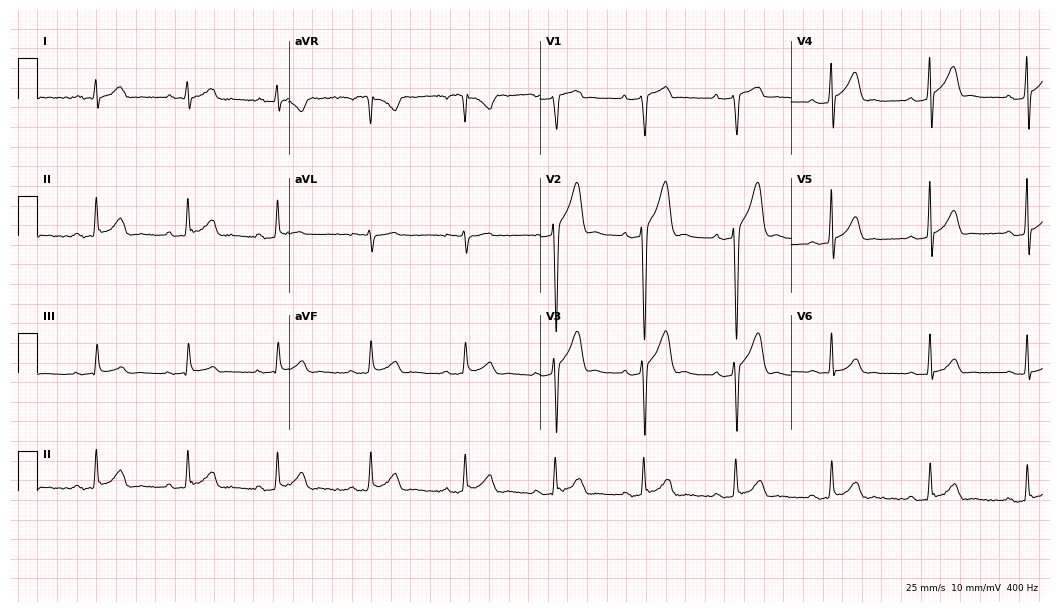
Resting 12-lead electrocardiogram (10.2-second recording at 400 Hz). Patient: a man, 23 years old. The tracing shows first-degree AV block.